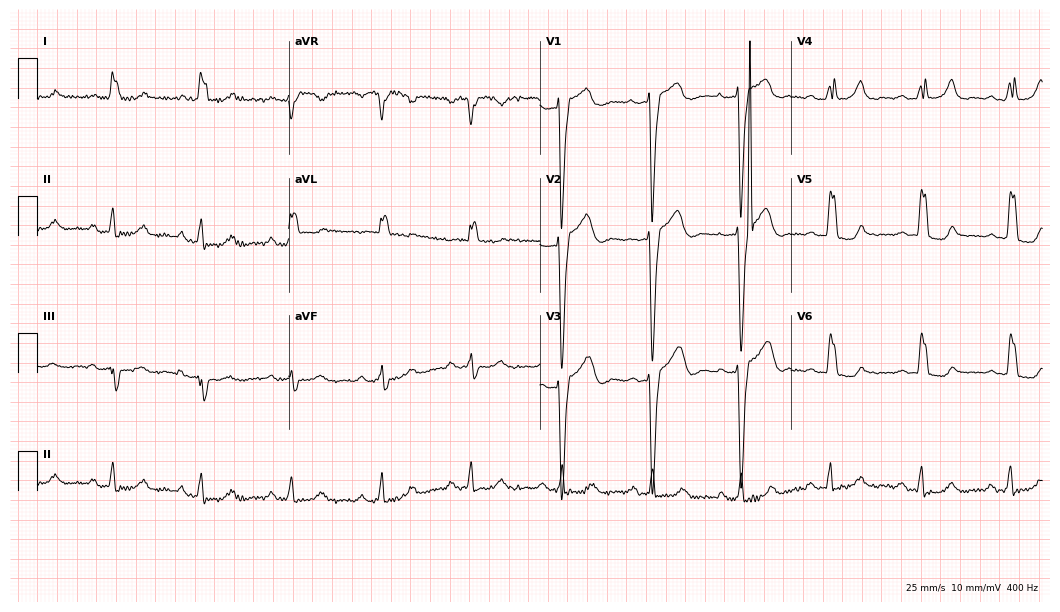
ECG — a female patient, 67 years old. Findings include left bundle branch block.